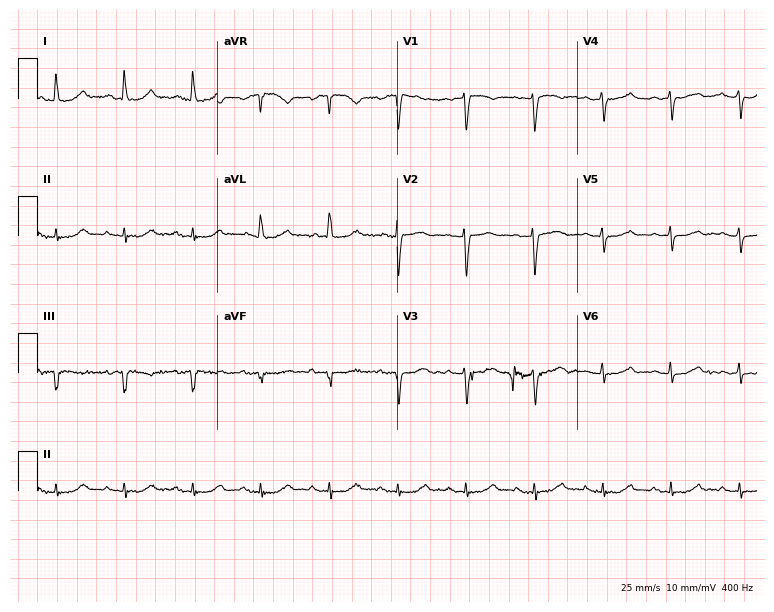
ECG (7.3-second recording at 400 Hz) — a 78-year-old woman. Screened for six findings — first-degree AV block, right bundle branch block (RBBB), left bundle branch block (LBBB), sinus bradycardia, atrial fibrillation (AF), sinus tachycardia — none is recorded. Only these six findings were labelled.